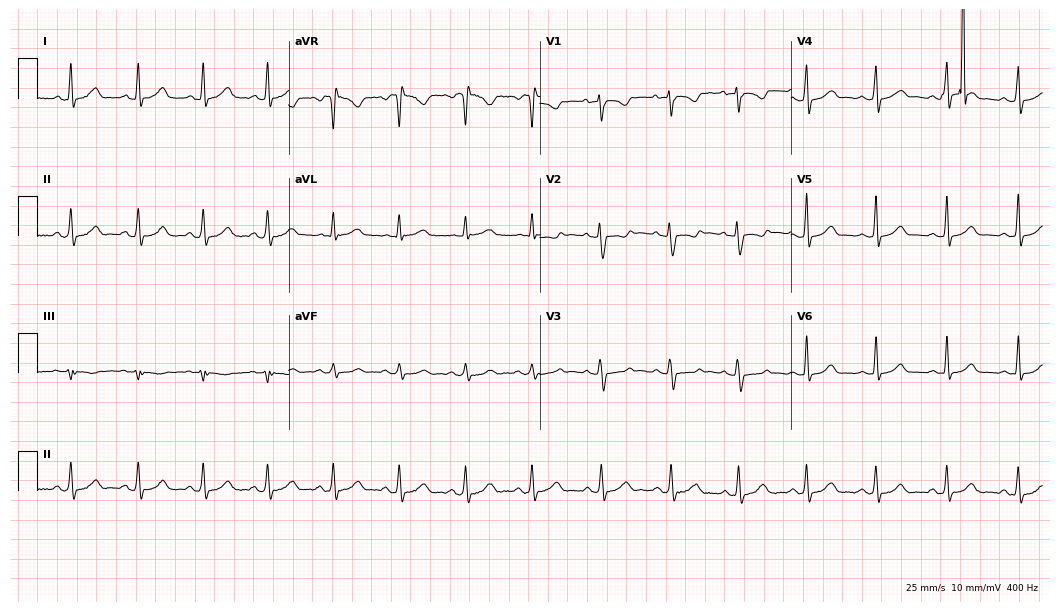
Resting 12-lead electrocardiogram (10.2-second recording at 400 Hz). Patient: a female, 20 years old. Read as a normal ECG.